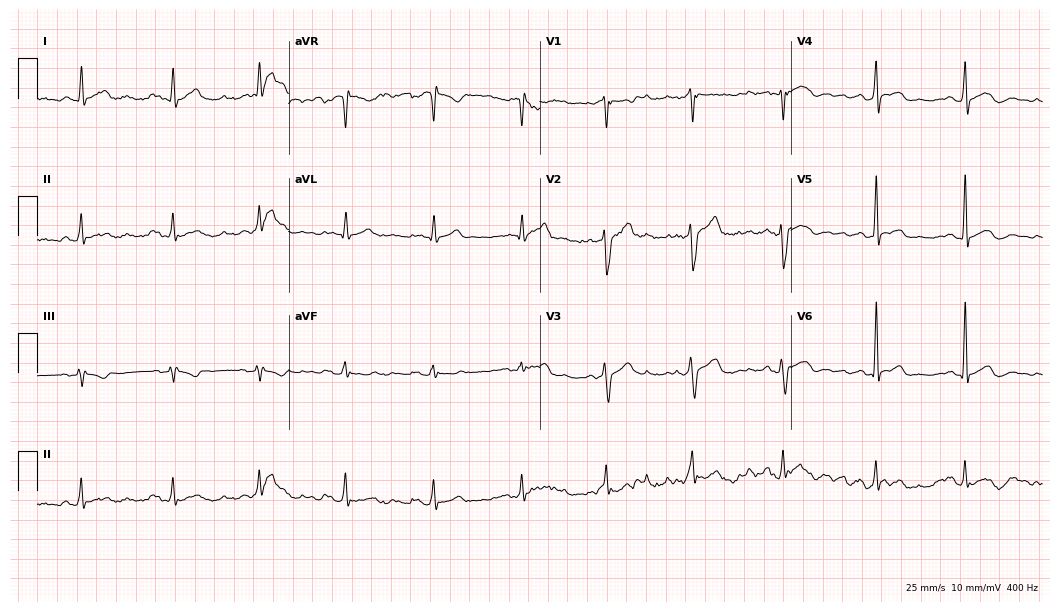
Resting 12-lead electrocardiogram (10.2-second recording at 400 Hz). Patient: a man, 34 years old. Read as a normal ECG.